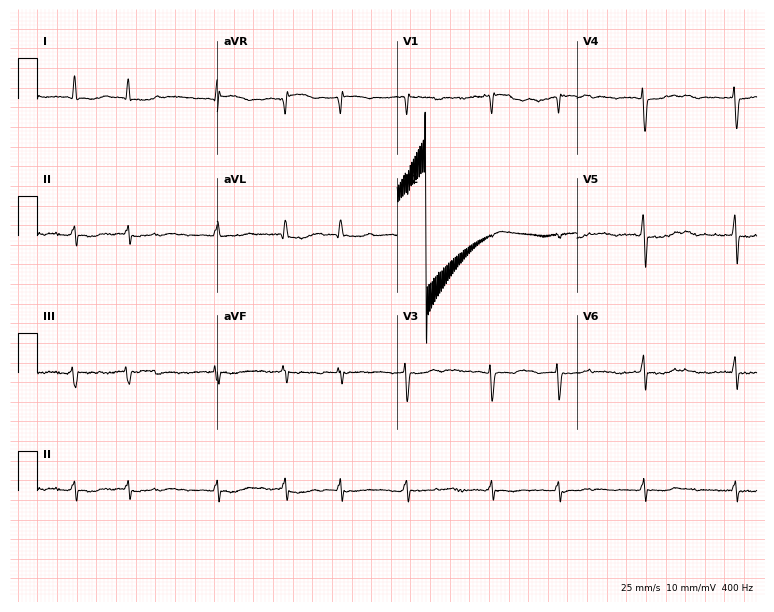
Electrocardiogram, a 75-year-old female. Interpretation includes atrial fibrillation (AF).